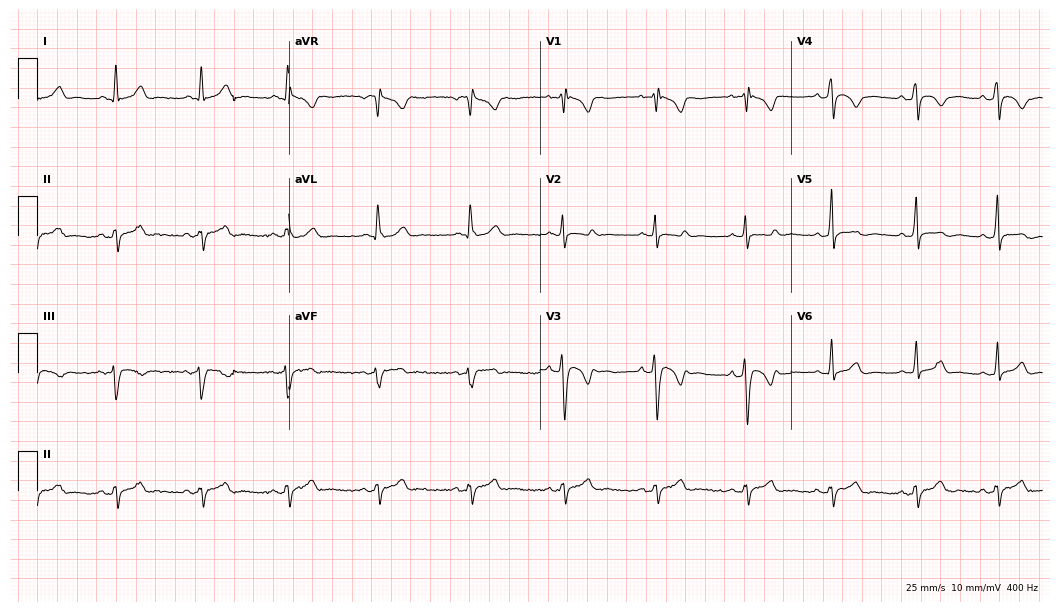
Resting 12-lead electrocardiogram. Patient: a male, 28 years old. None of these six findings is recorded: first-degree AV block, right bundle branch block, left bundle branch block, sinus bradycardia, atrial fibrillation, sinus tachycardia. Findings outside these six are not listed.